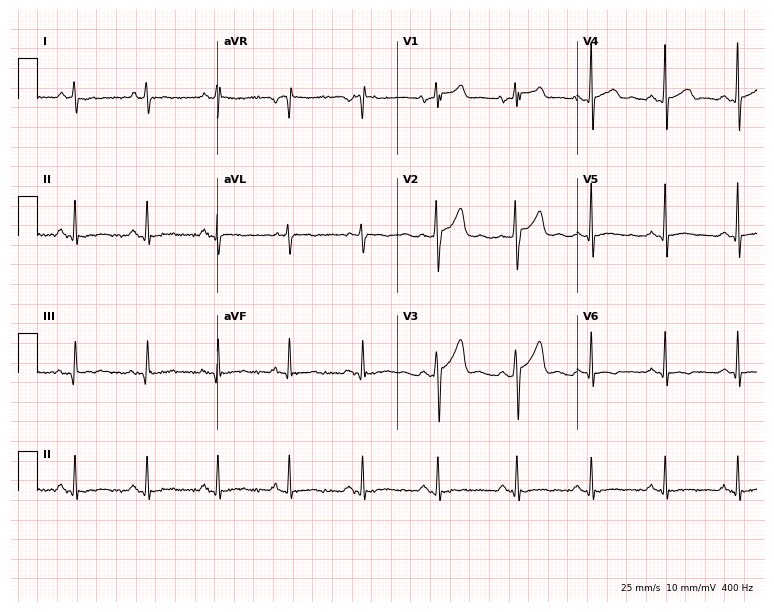
Standard 12-lead ECG recorded from a man, 40 years old (7.3-second recording at 400 Hz). None of these six findings is recorded: first-degree AV block, right bundle branch block, left bundle branch block, sinus bradycardia, atrial fibrillation, sinus tachycardia.